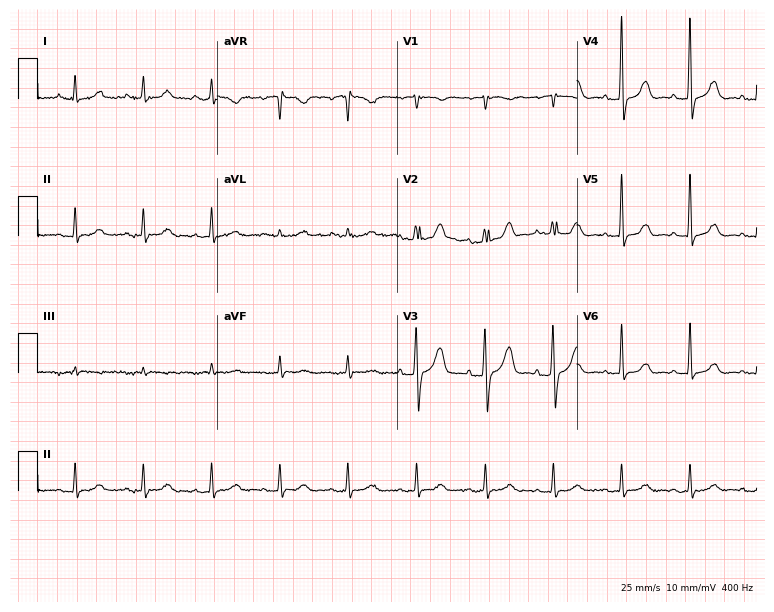
Electrocardiogram, a 68-year-old woman. Overall reading on record: normal ECG.